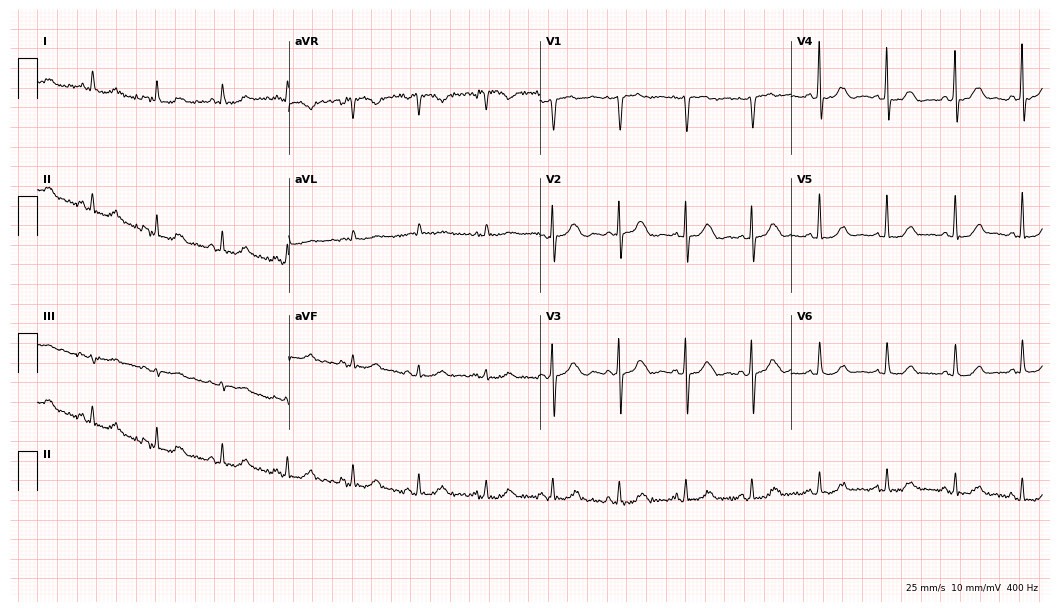
Resting 12-lead electrocardiogram. Patient: an 82-year-old female. Read as a normal ECG.